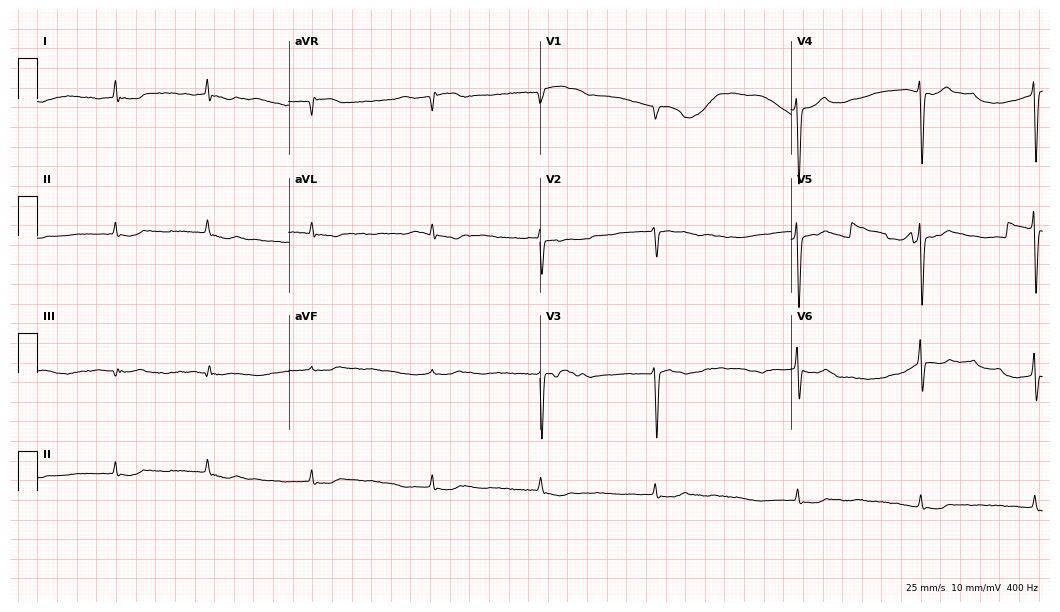
Standard 12-lead ECG recorded from a woman, 83 years old (10.2-second recording at 400 Hz). The tracing shows atrial fibrillation.